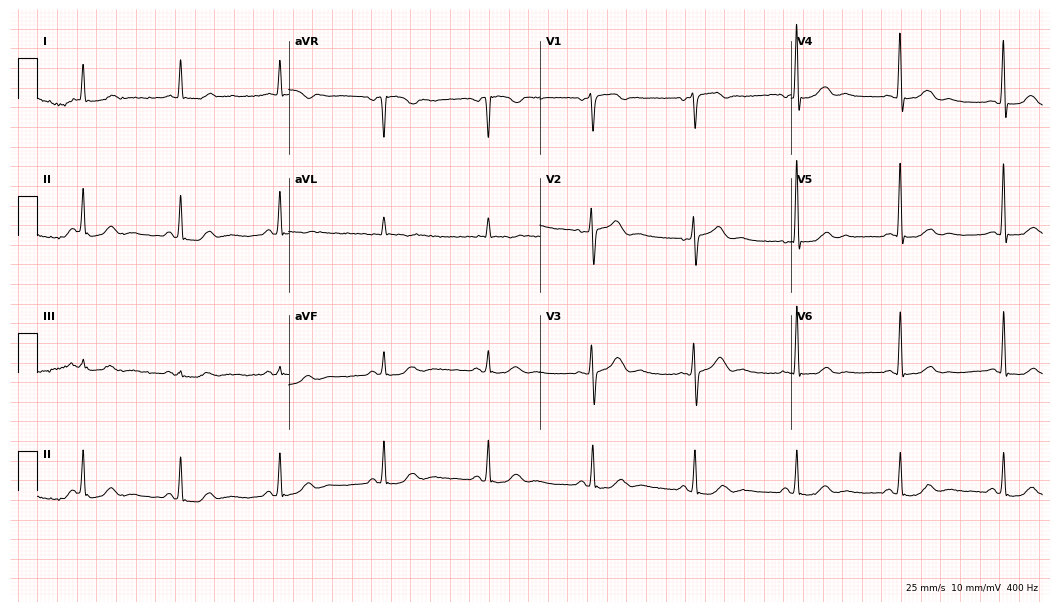
12-lead ECG (10.2-second recording at 400 Hz) from a male, 63 years old. Labelled as a normal ECG.